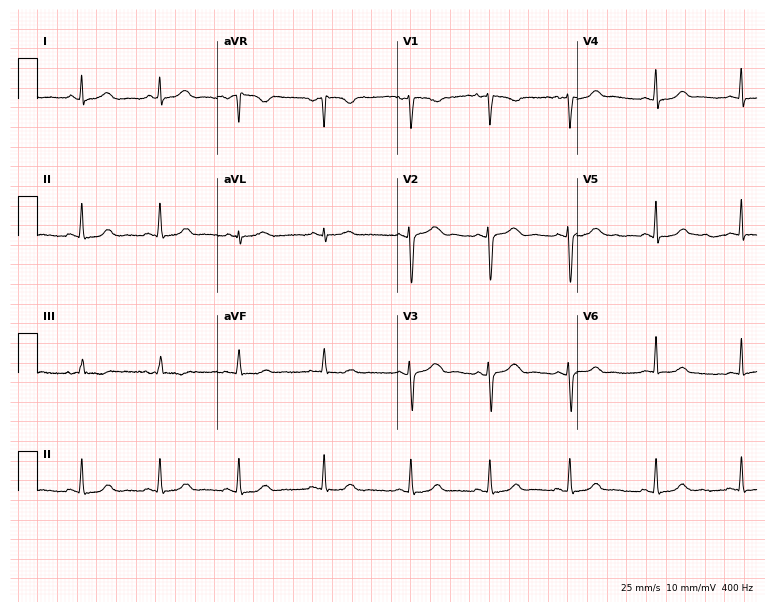
Resting 12-lead electrocardiogram. Patient: a 27-year-old woman. Read as a normal ECG.